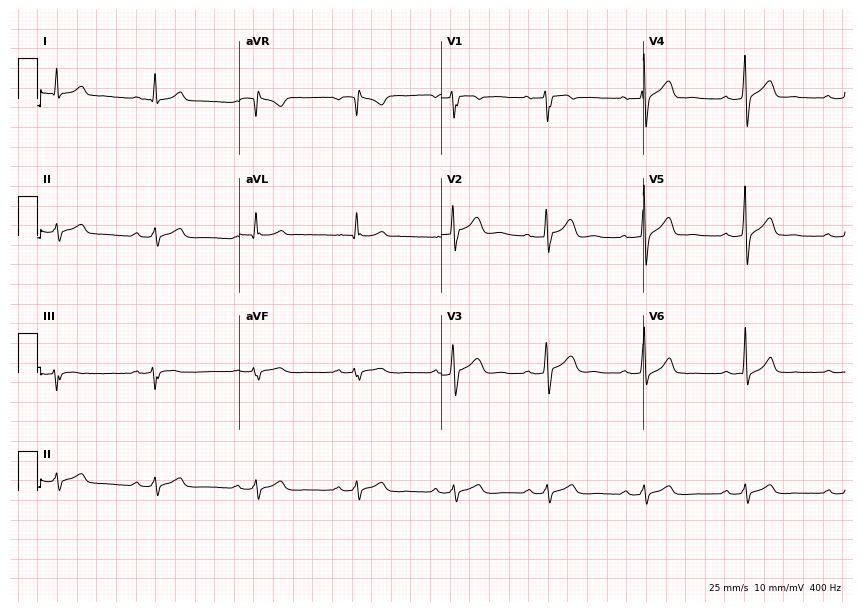
Resting 12-lead electrocardiogram (8.2-second recording at 400 Hz). Patient: a 36-year-old male. Read as a normal ECG.